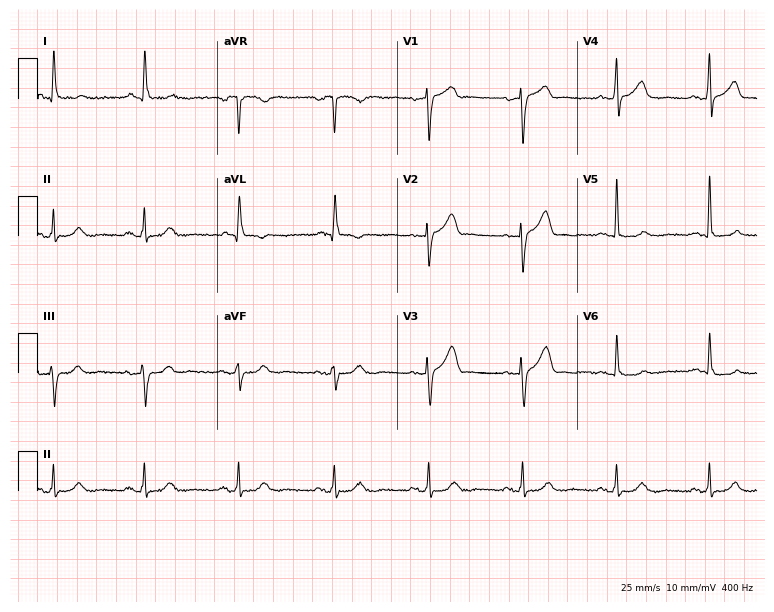
Standard 12-lead ECG recorded from a 77-year-old female. None of these six findings is recorded: first-degree AV block, right bundle branch block (RBBB), left bundle branch block (LBBB), sinus bradycardia, atrial fibrillation (AF), sinus tachycardia. Findings outside these six are not listed.